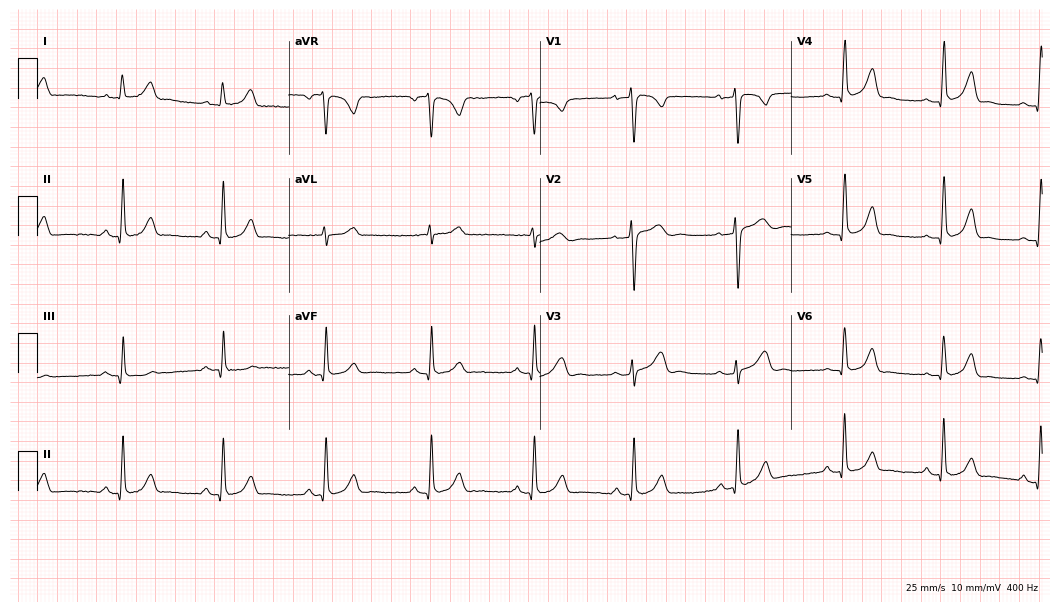
12-lead ECG from a female patient, 41 years old. No first-degree AV block, right bundle branch block (RBBB), left bundle branch block (LBBB), sinus bradycardia, atrial fibrillation (AF) or sinus tachycardia recorded for this tracing. Findings outside these six are not listed.